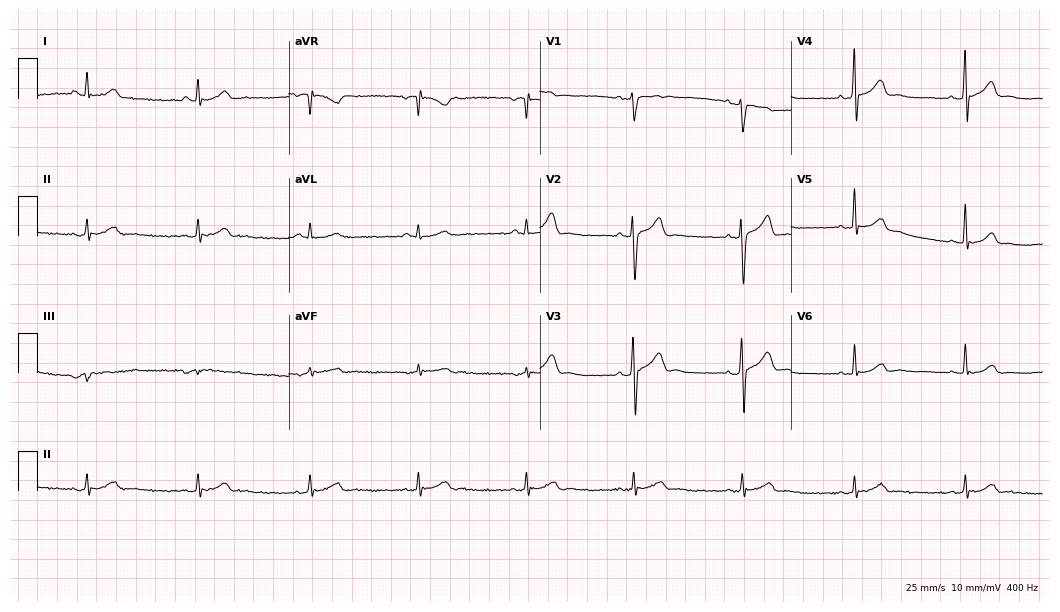
Electrocardiogram (10.2-second recording at 400 Hz), a 32-year-old male. Overall reading on record: normal ECG.